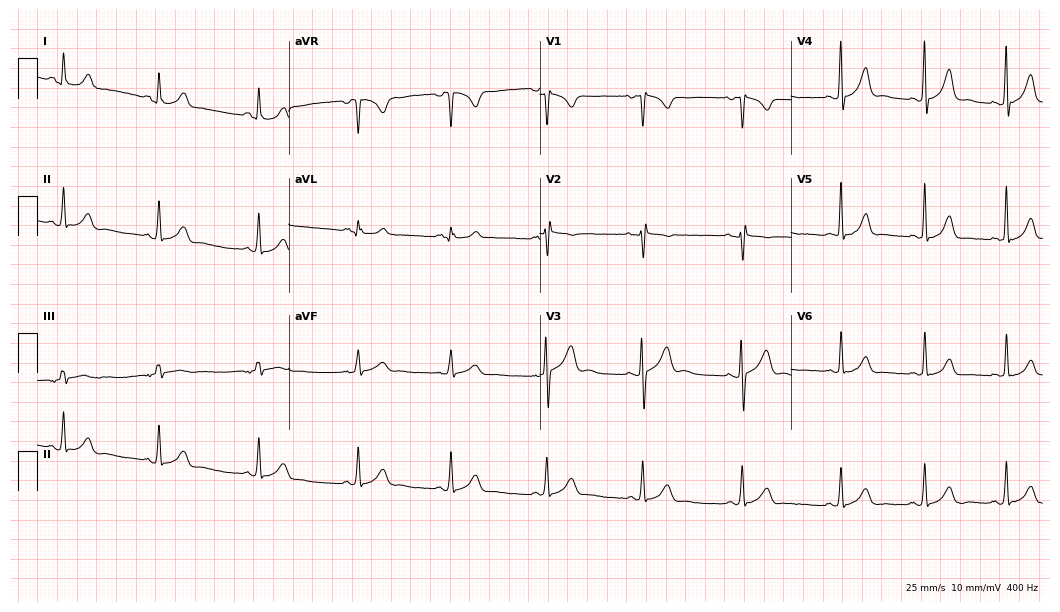
12-lead ECG from a 19-year-old female patient (10.2-second recording at 400 Hz). Recorded interpretation: within normal limits.